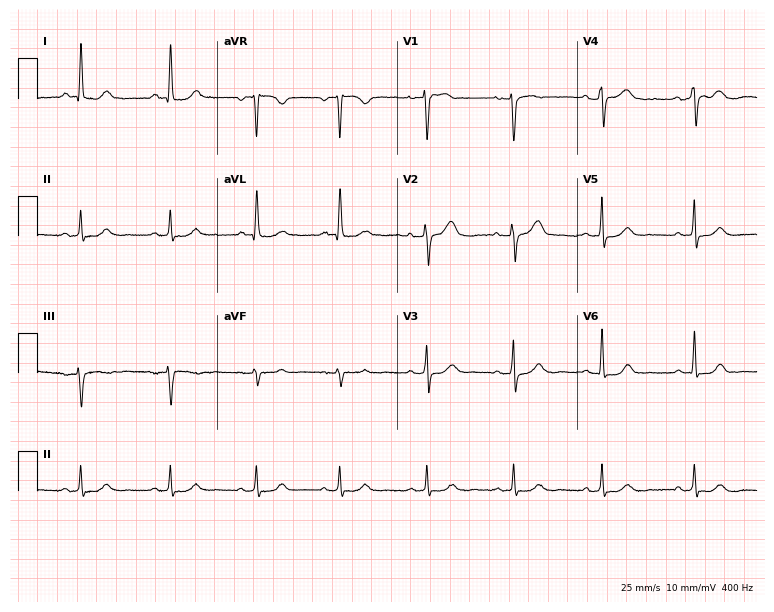
Resting 12-lead electrocardiogram (7.3-second recording at 400 Hz). Patient: a 71-year-old female. Read as a normal ECG.